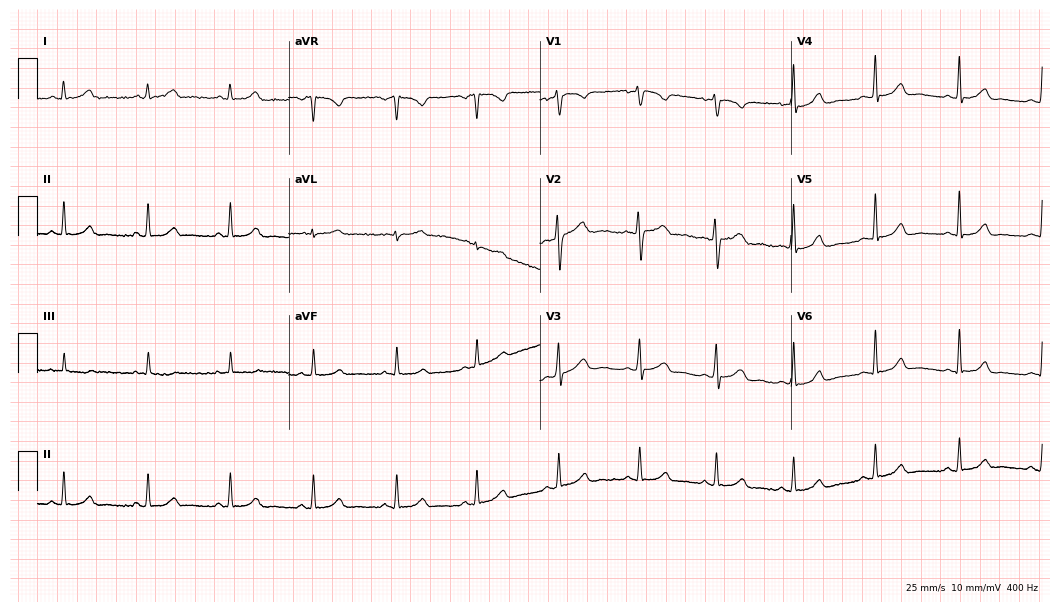
Resting 12-lead electrocardiogram (10.2-second recording at 400 Hz). Patient: a female, 27 years old. Read as a normal ECG.